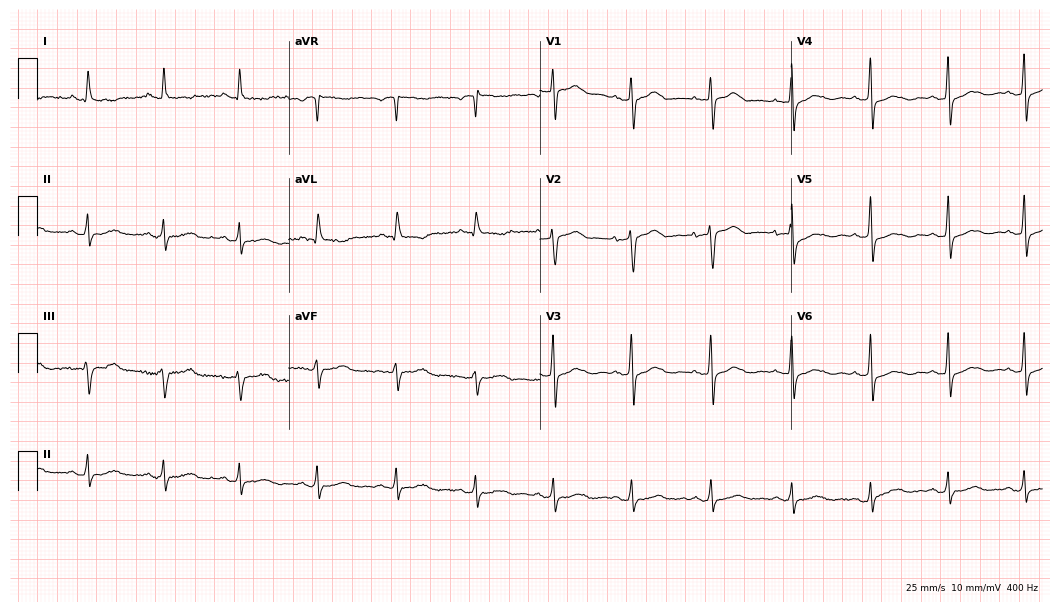
12-lead ECG from a woman, 75 years old. Screened for six findings — first-degree AV block, right bundle branch block, left bundle branch block, sinus bradycardia, atrial fibrillation, sinus tachycardia — none is recorded.